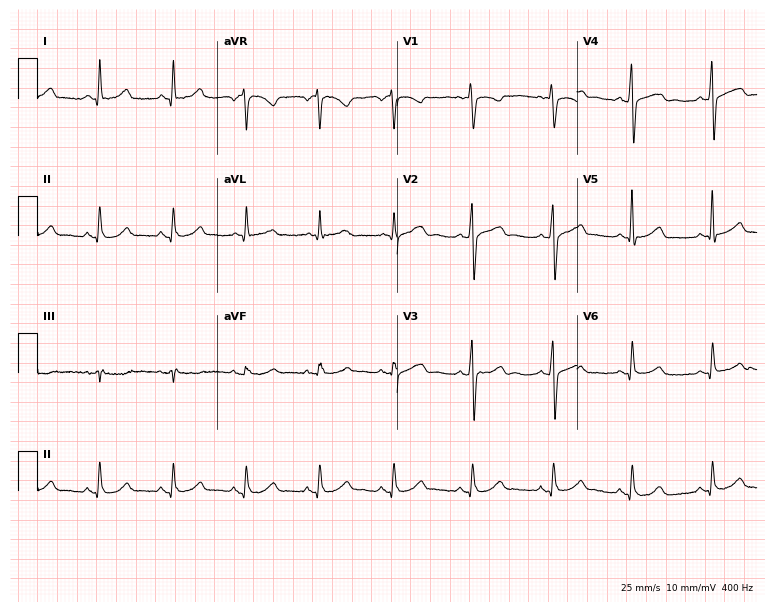
Electrocardiogram (7.3-second recording at 400 Hz), a 39-year-old woman. Overall reading on record: normal ECG.